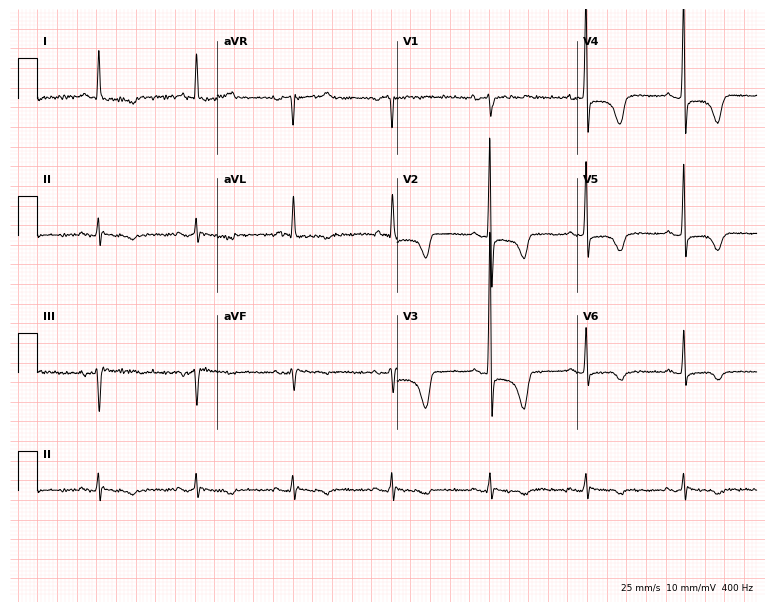
Electrocardiogram (7.3-second recording at 400 Hz), an 83-year-old female patient. Of the six screened findings (first-degree AV block, right bundle branch block, left bundle branch block, sinus bradycardia, atrial fibrillation, sinus tachycardia), none is recorded. Only these six findings were labelled.